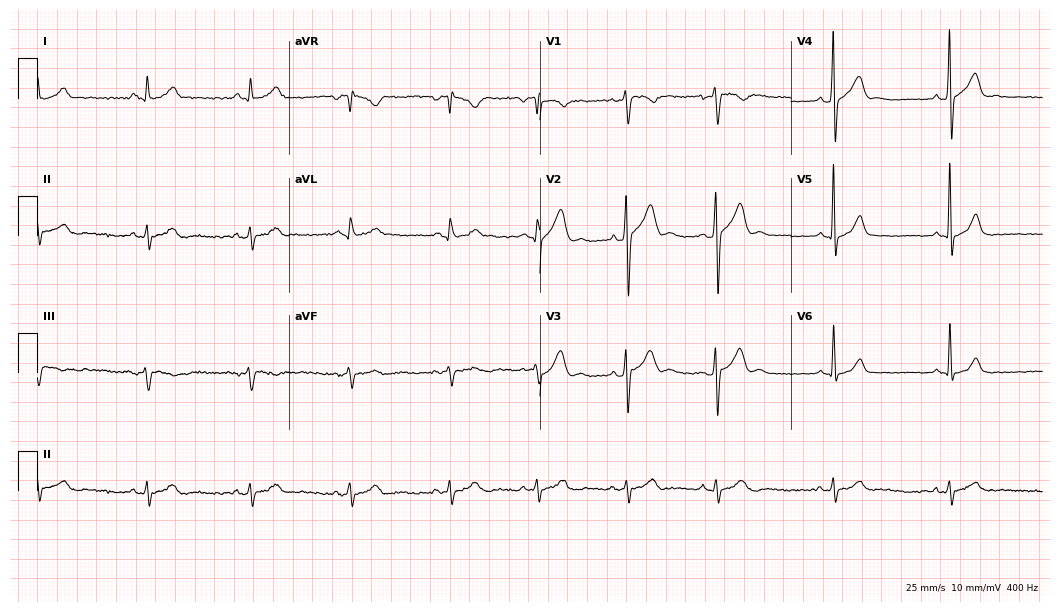
12-lead ECG from a 25-year-old male (10.2-second recording at 400 Hz). Recorded interpretation: within normal limits.